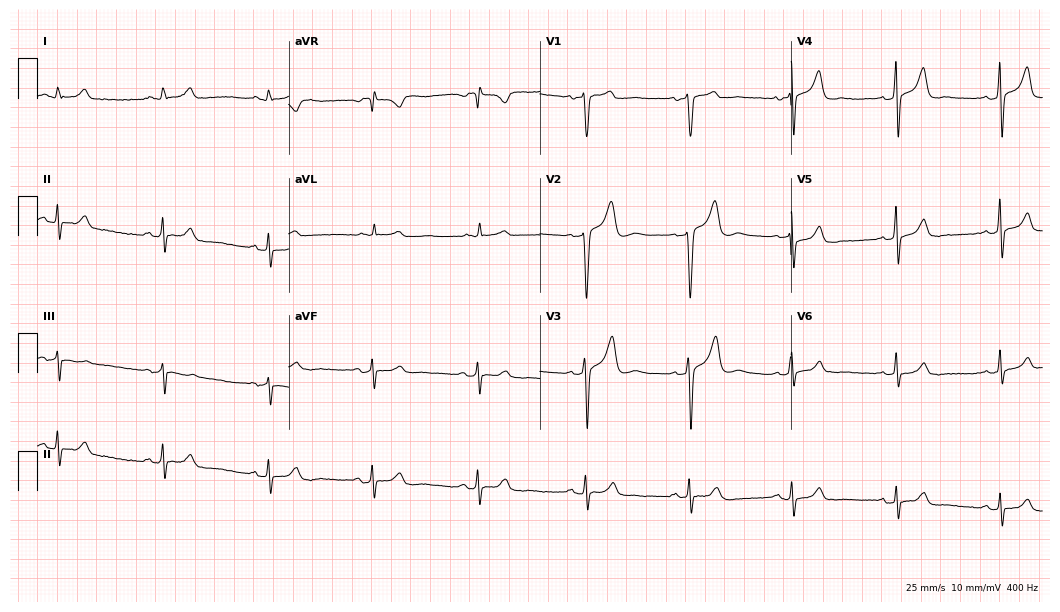
Resting 12-lead electrocardiogram. Patient: a 36-year-old man. None of these six findings is recorded: first-degree AV block, right bundle branch block, left bundle branch block, sinus bradycardia, atrial fibrillation, sinus tachycardia.